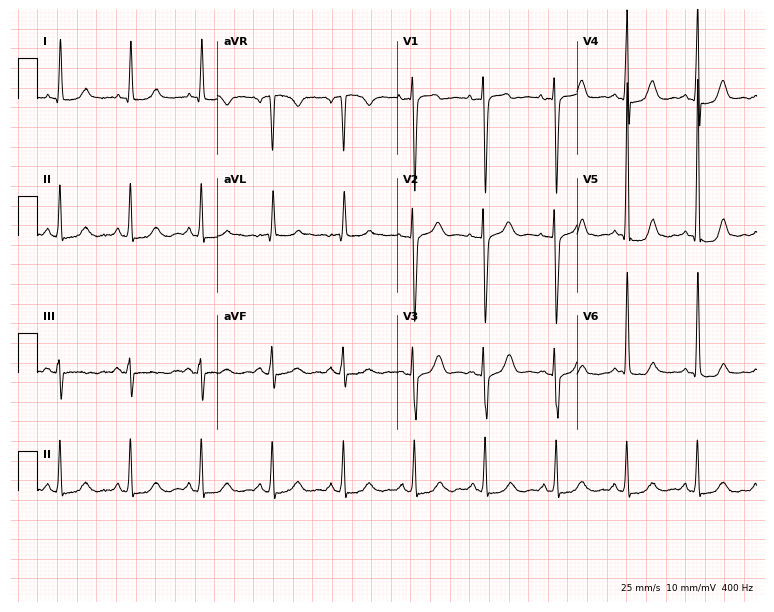
12-lead ECG (7.3-second recording at 400 Hz) from an 80-year-old female. Screened for six findings — first-degree AV block, right bundle branch block, left bundle branch block, sinus bradycardia, atrial fibrillation, sinus tachycardia — none is recorded. Only these six findings were labelled.